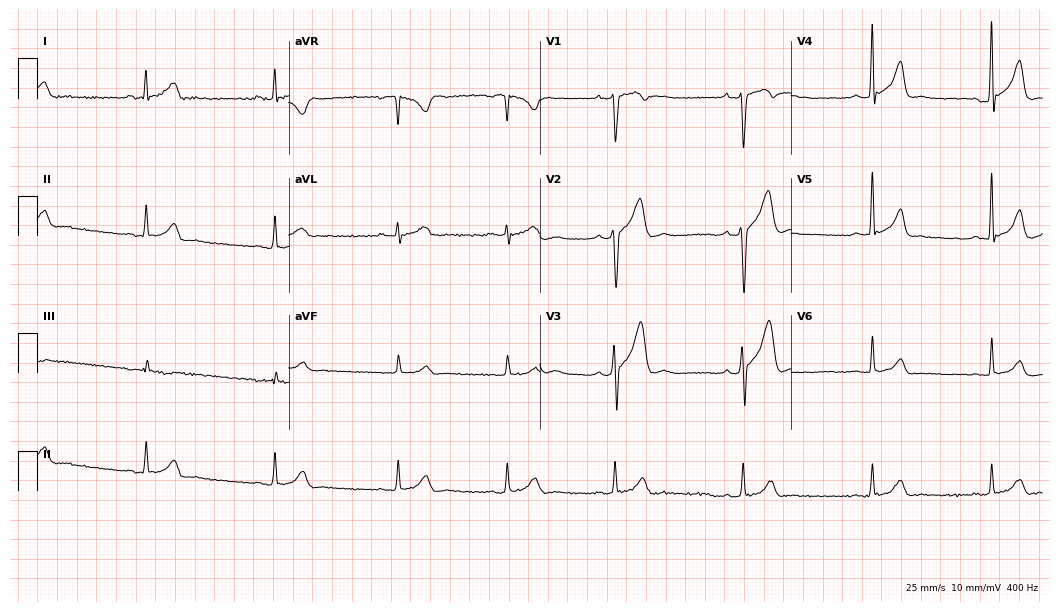
Standard 12-lead ECG recorded from a 36-year-old man (10.2-second recording at 400 Hz). The tracing shows sinus bradycardia (a sinus rate of 50 beats per minute or less).